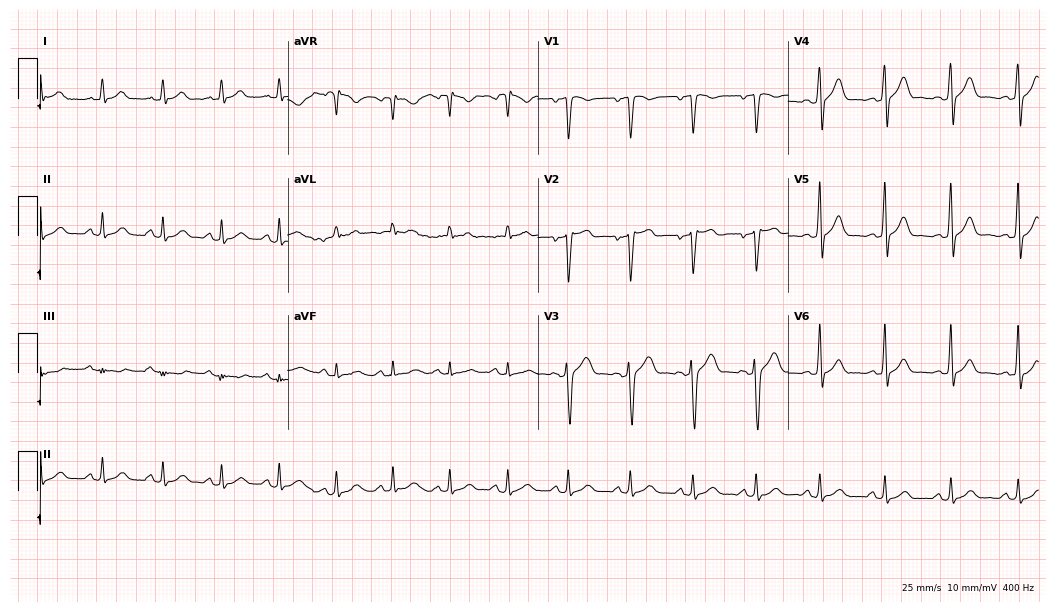
ECG — a male patient, 35 years old. Screened for six findings — first-degree AV block, right bundle branch block, left bundle branch block, sinus bradycardia, atrial fibrillation, sinus tachycardia — none is recorded. Other findings, if any, are not listed.